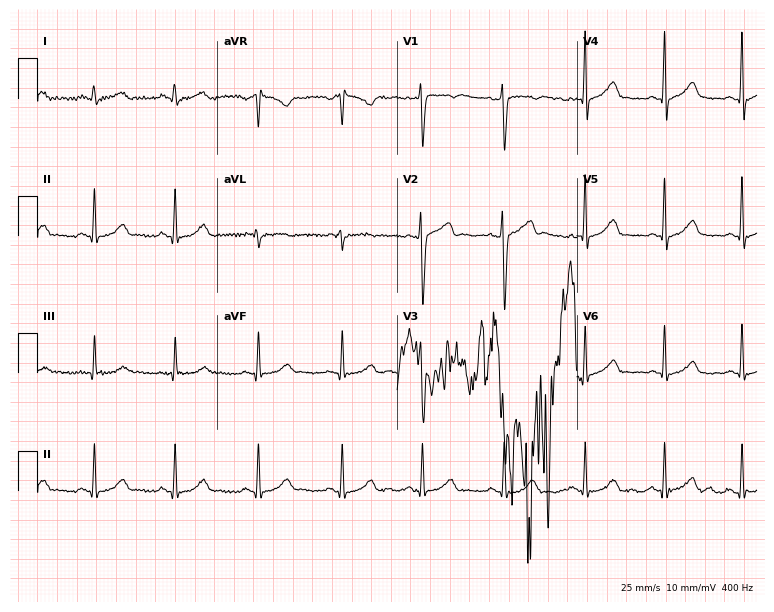
ECG (7.3-second recording at 400 Hz) — a 40-year-old man. Screened for six findings — first-degree AV block, right bundle branch block (RBBB), left bundle branch block (LBBB), sinus bradycardia, atrial fibrillation (AF), sinus tachycardia — none is recorded. Findings outside these six are not listed.